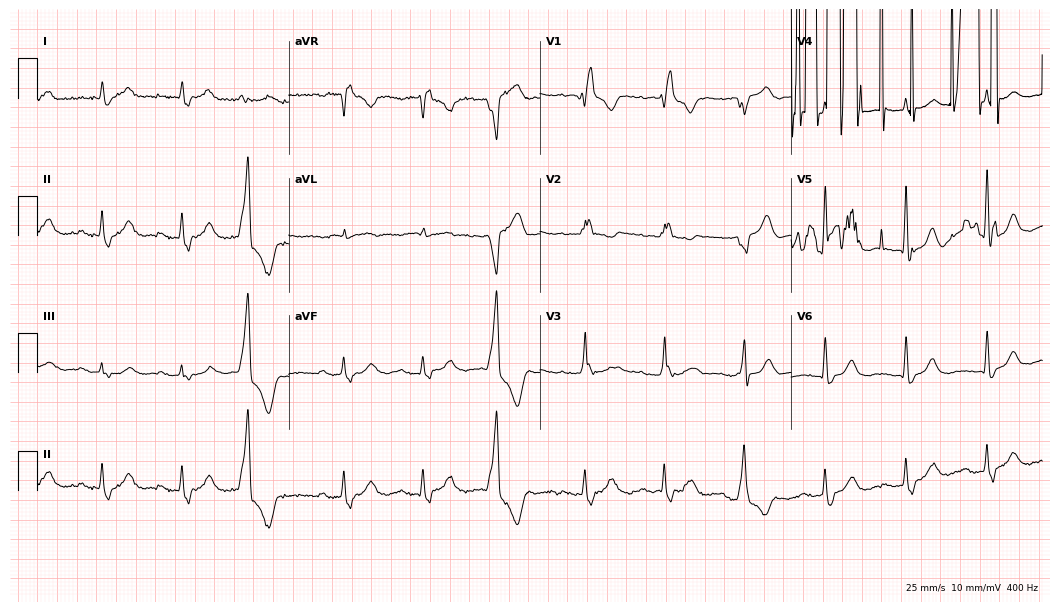
Resting 12-lead electrocardiogram. Patient: a man, 83 years old. The tracing shows right bundle branch block.